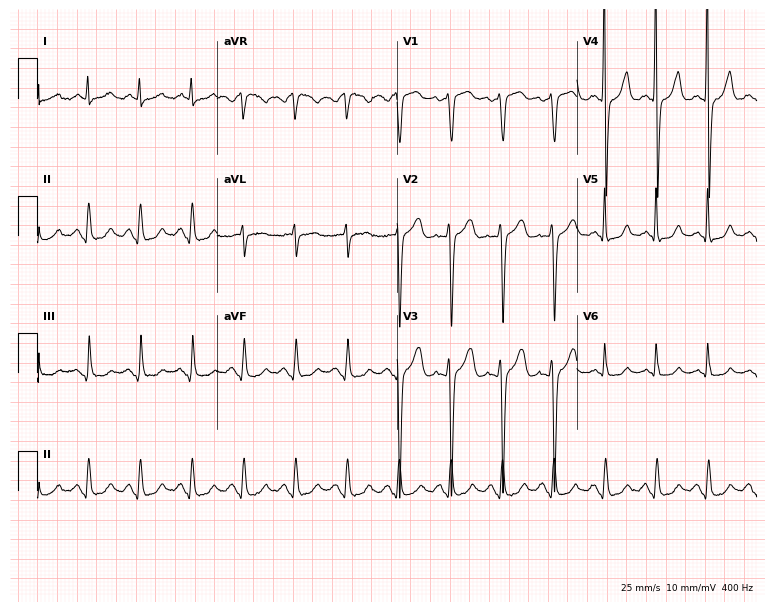
12-lead ECG (7.3-second recording at 400 Hz) from a man, 53 years old. Findings include sinus tachycardia (a sinus rate of 100 beats per minute or more).